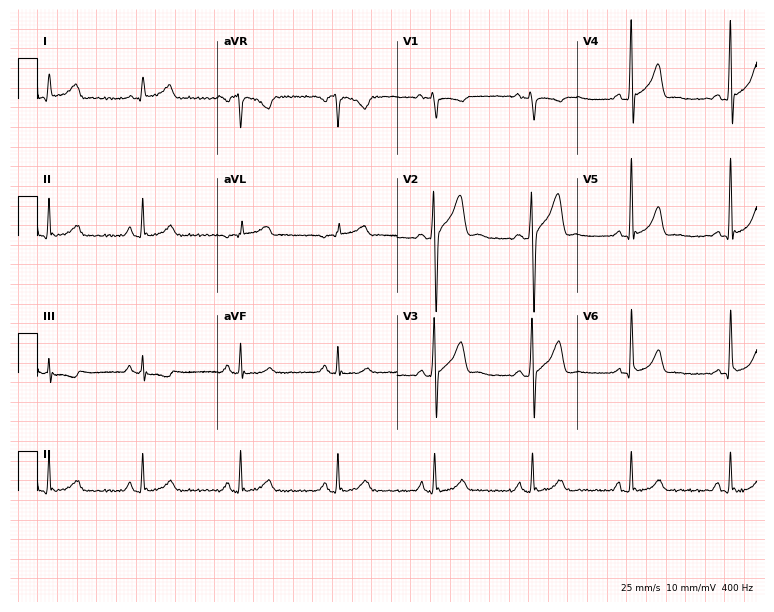
Resting 12-lead electrocardiogram. Patient: a 33-year-old male. None of these six findings is recorded: first-degree AV block, right bundle branch block (RBBB), left bundle branch block (LBBB), sinus bradycardia, atrial fibrillation (AF), sinus tachycardia. Findings outside these six are not listed.